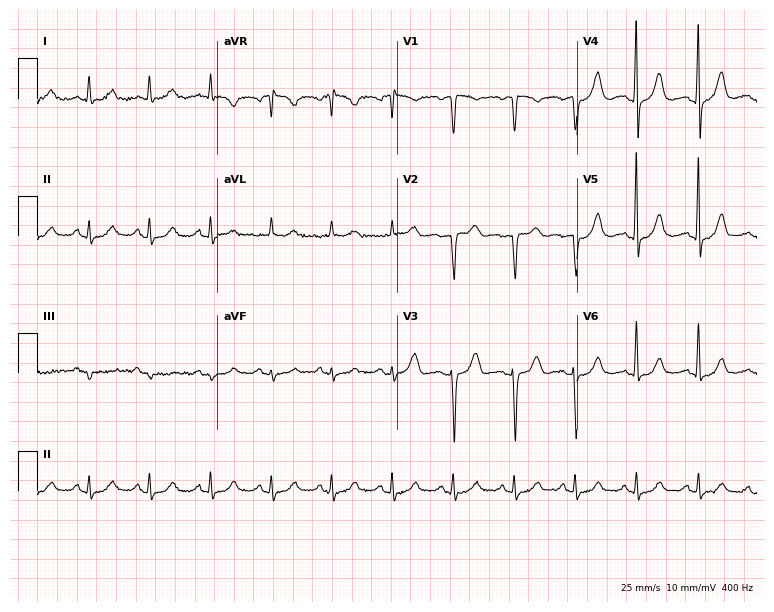
12-lead ECG from a man, 71 years old. No first-degree AV block, right bundle branch block (RBBB), left bundle branch block (LBBB), sinus bradycardia, atrial fibrillation (AF) or sinus tachycardia recorded for this tracing. Only these six findings were labelled.